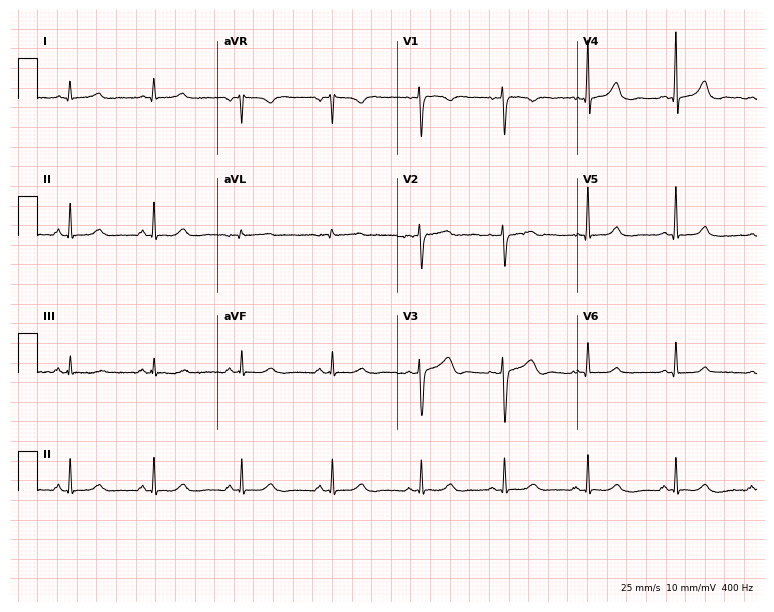
12-lead ECG (7.3-second recording at 400 Hz) from a 36-year-old female. Labelled as a normal ECG.